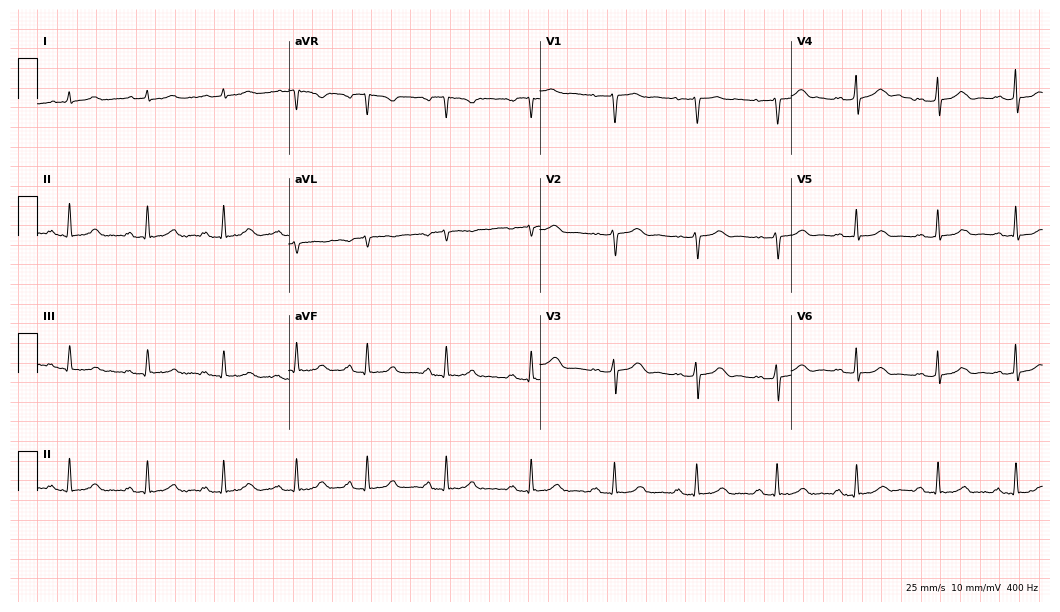
12-lead ECG from a 44-year-old female patient. Labelled as a normal ECG.